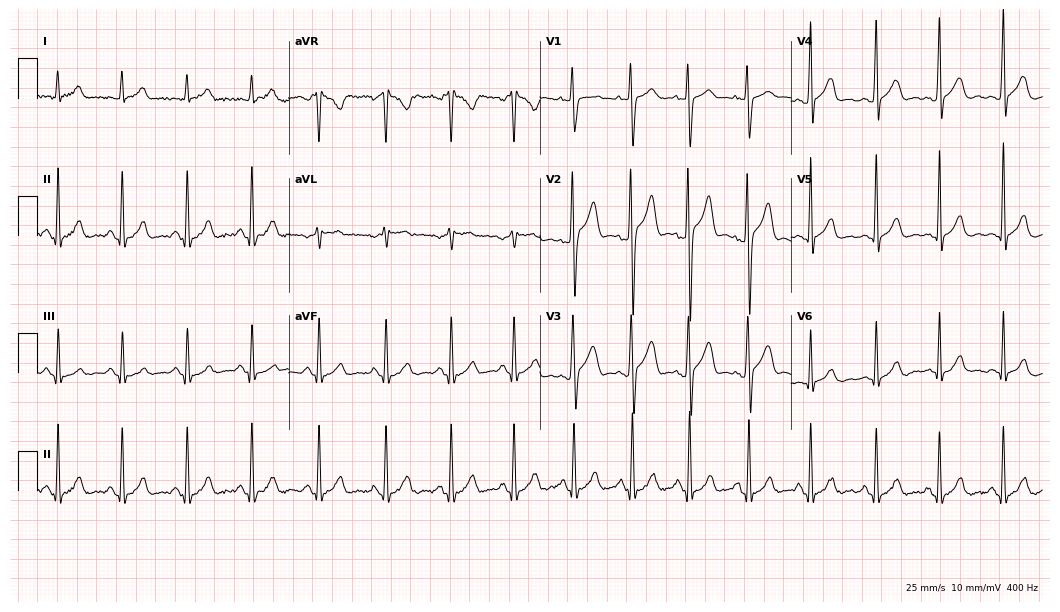
Electrocardiogram (10.2-second recording at 400 Hz), a man, 22 years old. Overall reading on record: normal ECG.